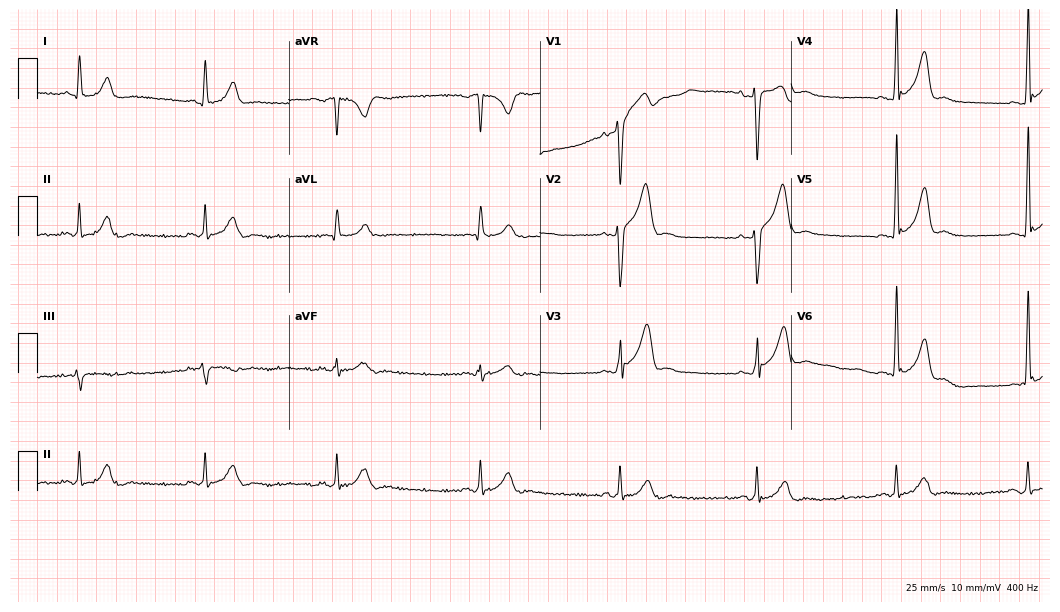
12-lead ECG from a male patient, 42 years old. Findings include sinus bradycardia (a sinus rate of 50 beats per minute or less).